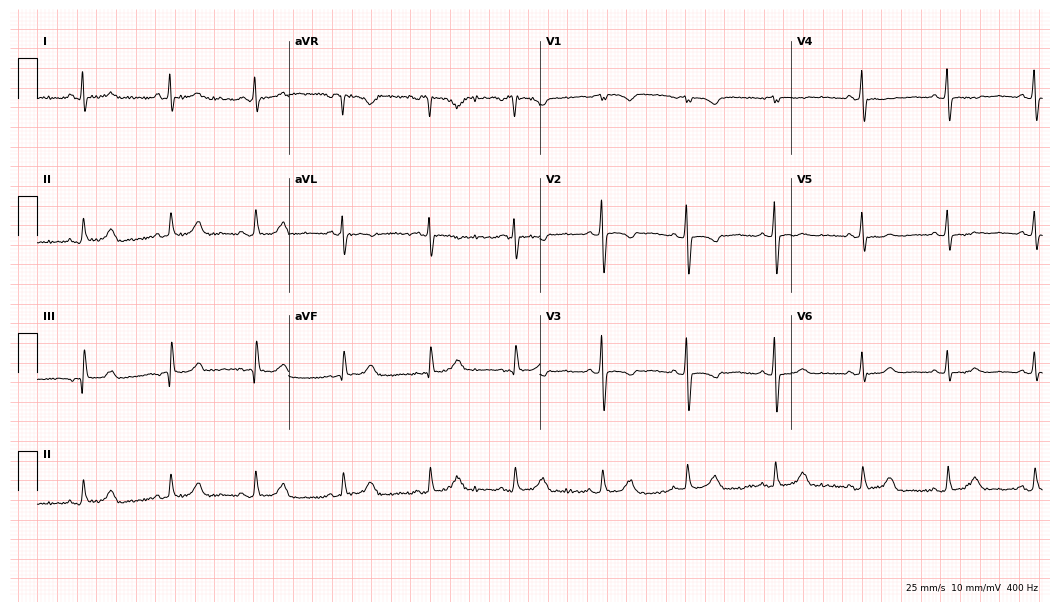
ECG (10.2-second recording at 400 Hz) — a woman, 63 years old. Screened for six findings — first-degree AV block, right bundle branch block, left bundle branch block, sinus bradycardia, atrial fibrillation, sinus tachycardia — none is recorded. Other findings, if any, are not listed.